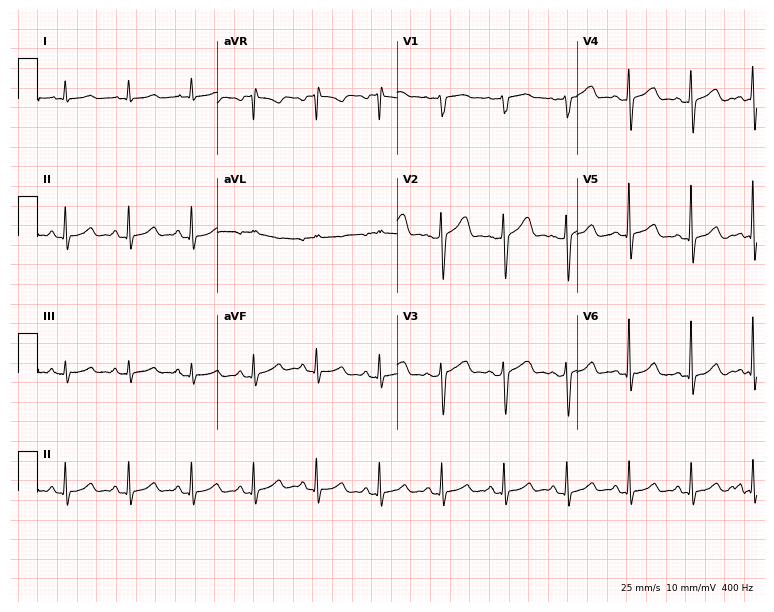
Resting 12-lead electrocardiogram (7.3-second recording at 400 Hz). Patient: a male, 45 years old. Read as a normal ECG.